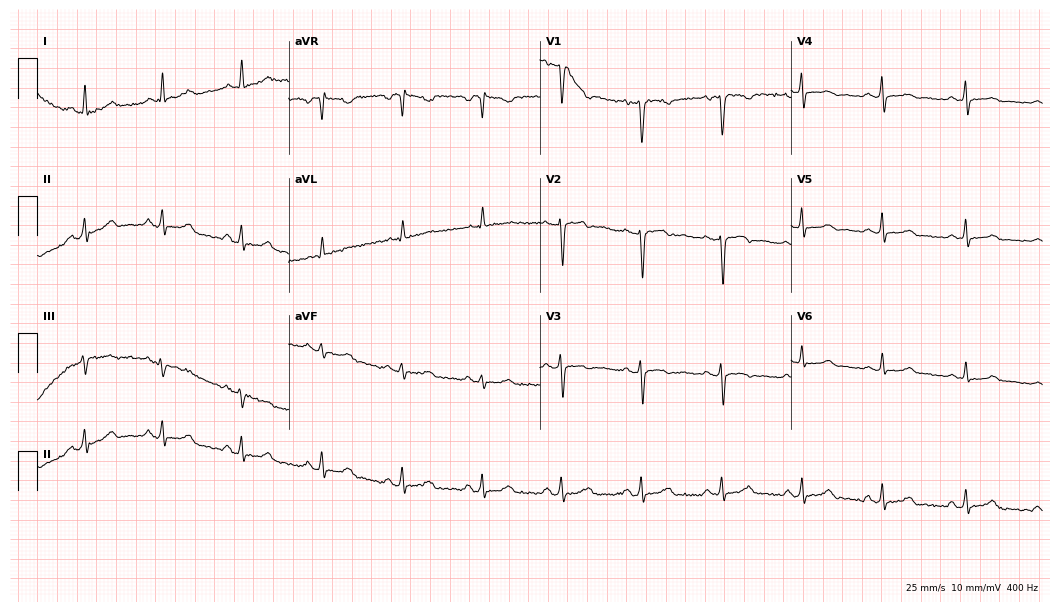
Electrocardiogram (10.2-second recording at 400 Hz), a 48-year-old woman. Of the six screened findings (first-degree AV block, right bundle branch block, left bundle branch block, sinus bradycardia, atrial fibrillation, sinus tachycardia), none is recorded. Other findings, if any, are not listed.